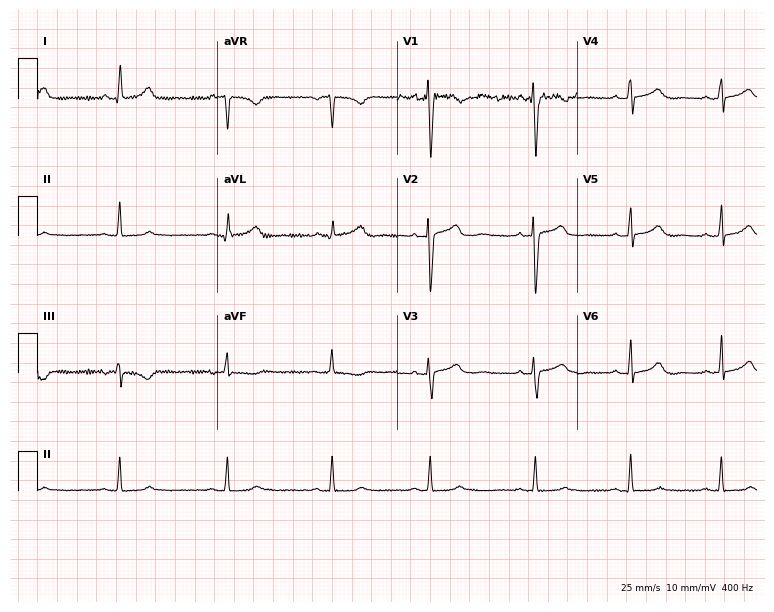
ECG — a 43-year-old woman. Screened for six findings — first-degree AV block, right bundle branch block, left bundle branch block, sinus bradycardia, atrial fibrillation, sinus tachycardia — none is recorded. Other findings, if any, are not listed.